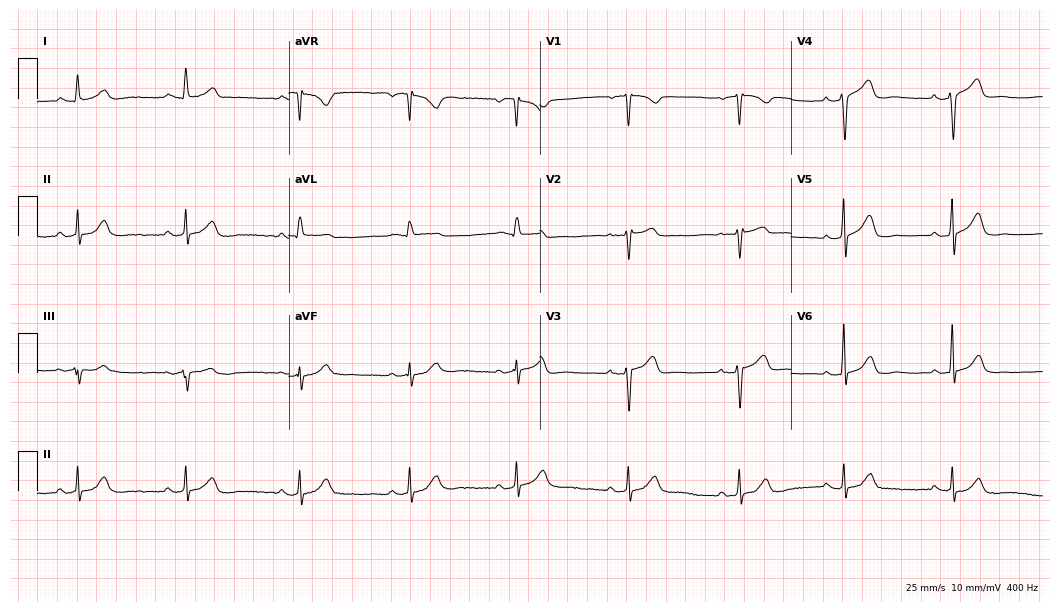
12-lead ECG from a female patient, 55 years old. No first-degree AV block, right bundle branch block (RBBB), left bundle branch block (LBBB), sinus bradycardia, atrial fibrillation (AF) or sinus tachycardia recorded for this tracing. Only these six findings were labelled.